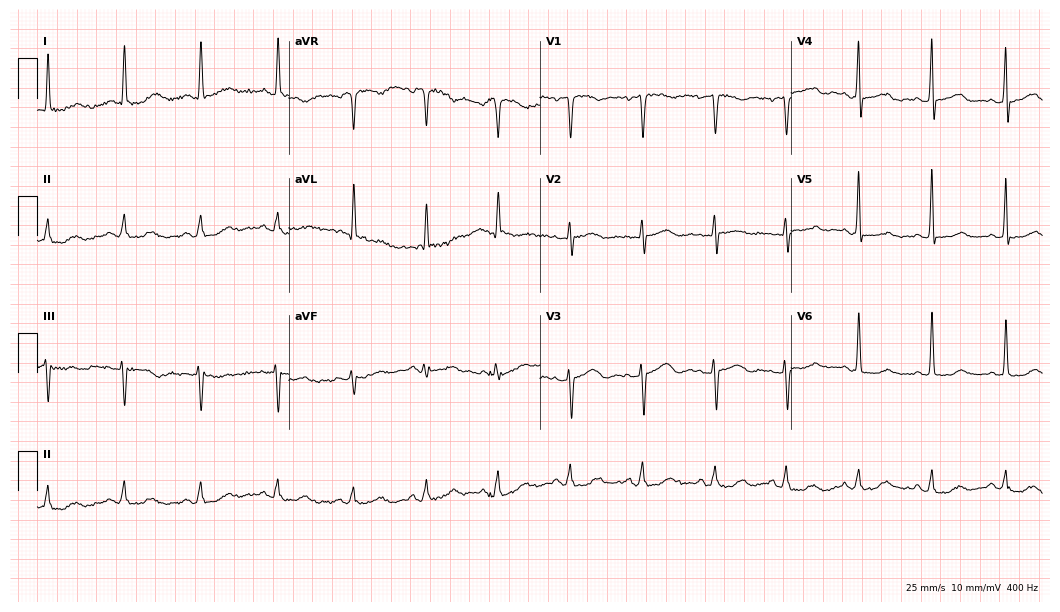
12-lead ECG from a female patient, 61 years old. No first-degree AV block, right bundle branch block, left bundle branch block, sinus bradycardia, atrial fibrillation or sinus tachycardia recorded for this tracing.